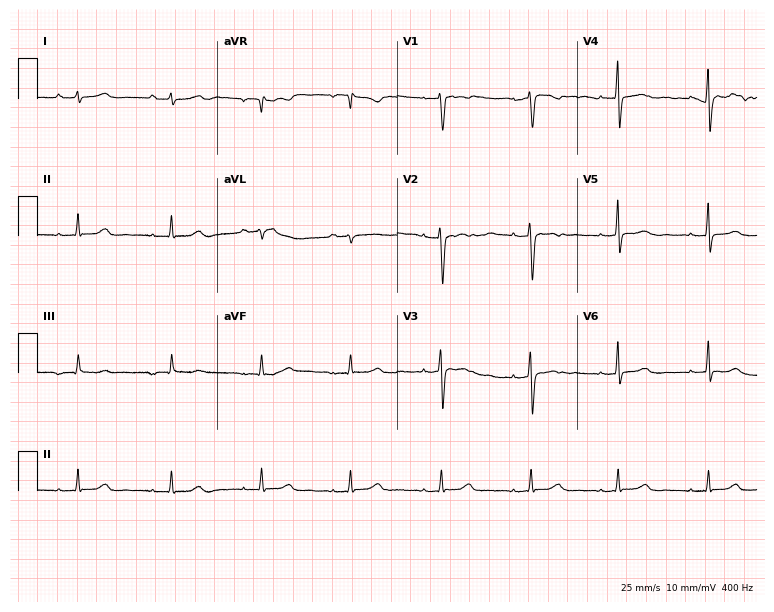
Resting 12-lead electrocardiogram (7.3-second recording at 400 Hz). Patient: a 40-year-old female. None of these six findings is recorded: first-degree AV block, right bundle branch block, left bundle branch block, sinus bradycardia, atrial fibrillation, sinus tachycardia.